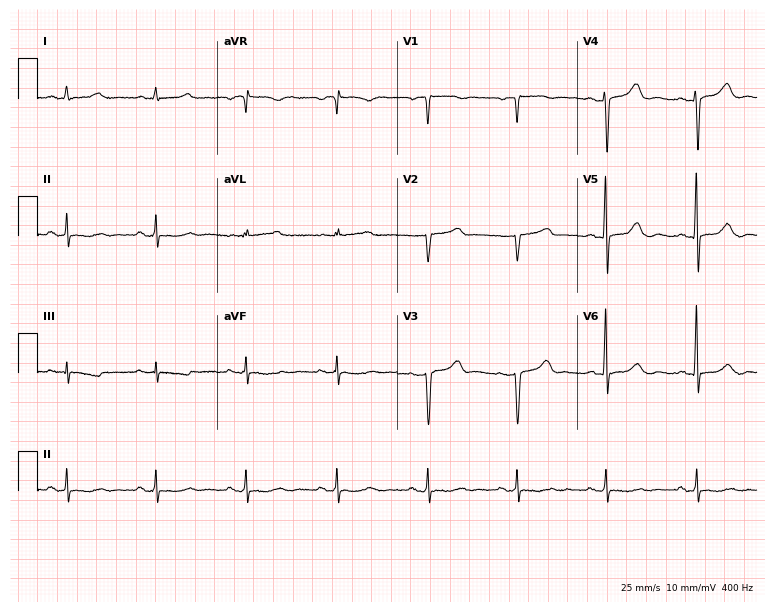
12-lead ECG from a 48-year-old female. No first-degree AV block, right bundle branch block, left bundle branch block, sinus bradycardia, atrial fibrillation or sinus tachycardia recorded for this tracing. Findings outside these six are not listed.